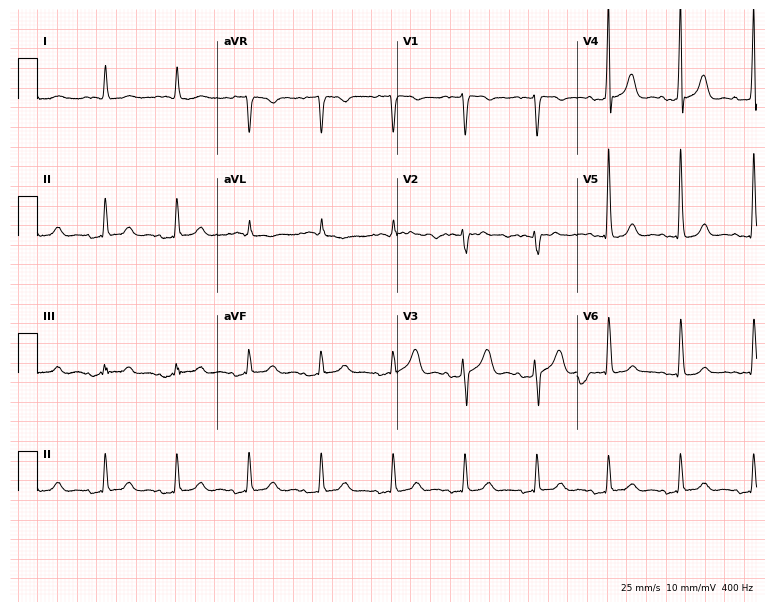
12-lead ECG from a woman, 70 years old. Screened for six findings — first-degree AV block, right bundle branch block, left bundle branch block, sinus bradycardia, atrial fibrillation, sinus tachycardia — none is recorded. Other findings, if any, are not listed.